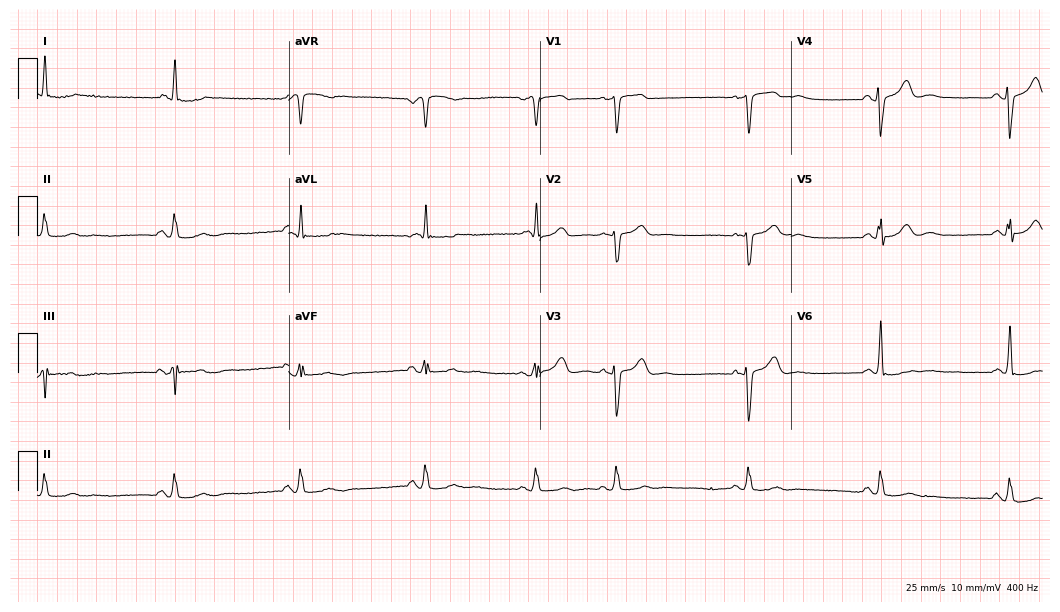
Resting 12-lead electrocardiogram (10.2-second recording at 400 Hz). Patient: a 70-year-old female. The tracing shows sinus bradycardia (a sinus rate of 50 beats per minute or less).